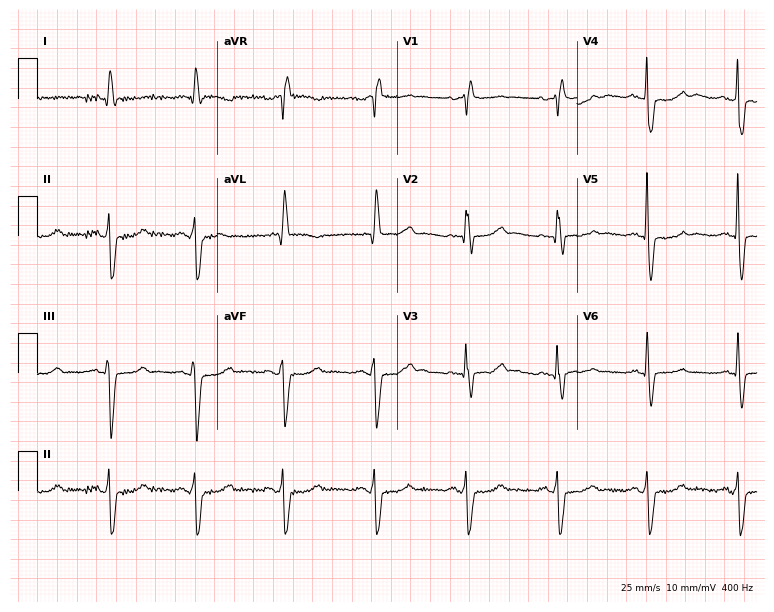
12-lead ECG from a 76-year-old female (7.3-second recording at 400 Hz). Shows right bundle branch block.